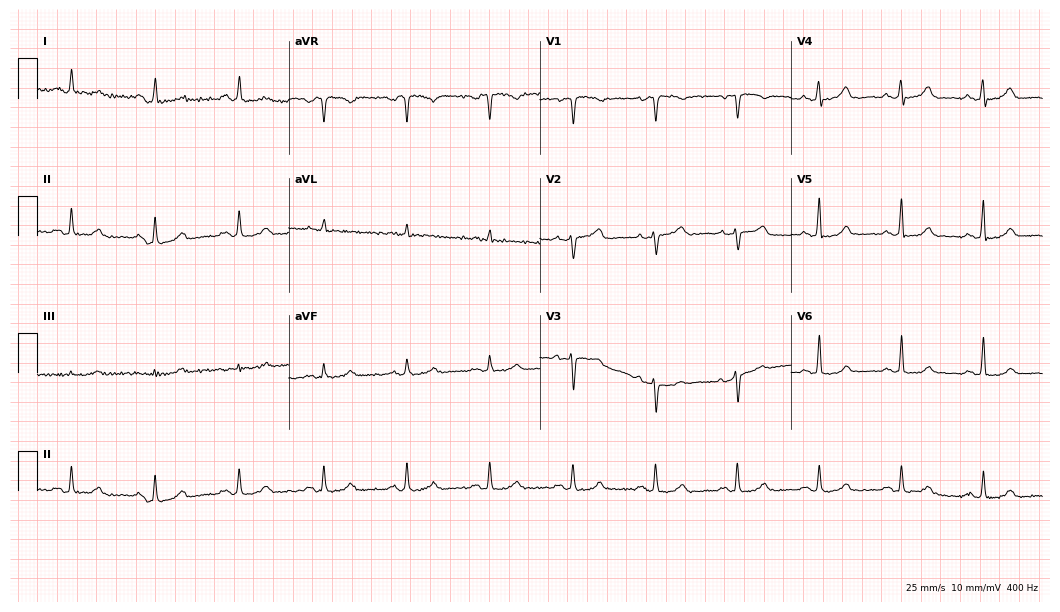
Standard 12-lead ECG recorded from a 64-year-old female patient. None of these six findings is recorded: first-degree AV block, right bundle branch block (RBBB), left bundle branch block (LBBB), sinus bradycardia, atrial fibrillation (AF), sinus tachycardia.